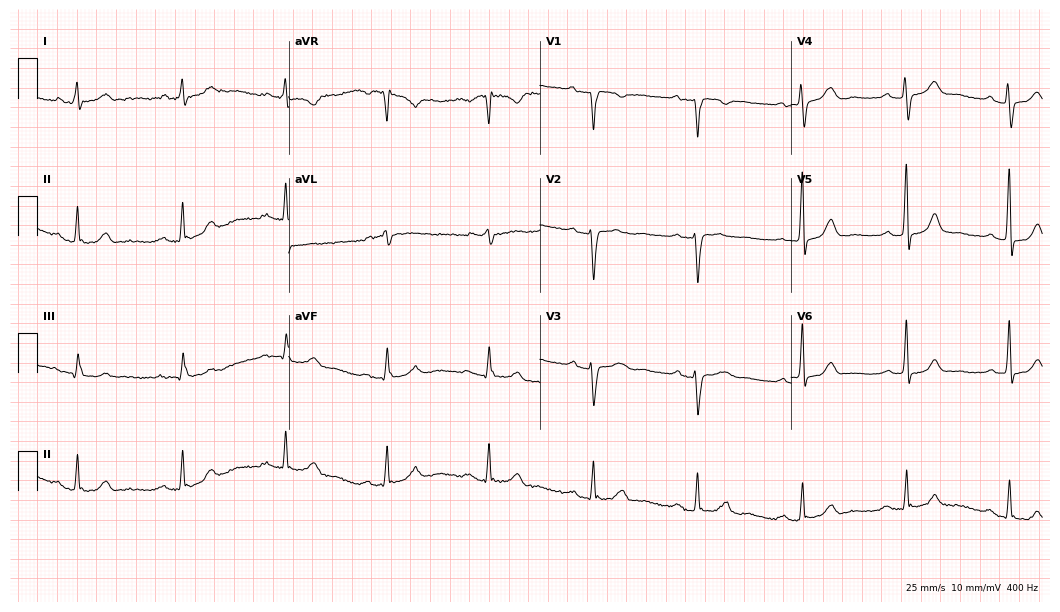
Standard 12-lead ECG recorded from a woman, 67 years old (10.2-second recording at 400 Hz). The tracing shows first-degree AV block.